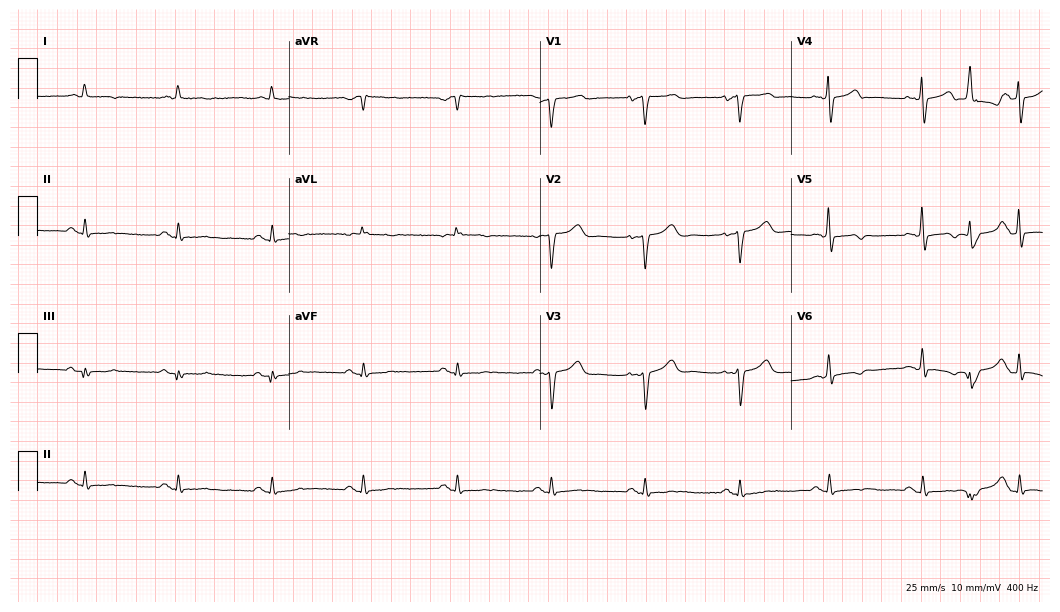
Electrocardiogram (10.2-second recording at 400 Hz), a female patient, 79 years old. Of the six screened findings (first-degree AV block, right bundle branch block, left bundle branch block, sinus bradycardia, atrial fibrillation, sinus tachycardia), none is recorded.